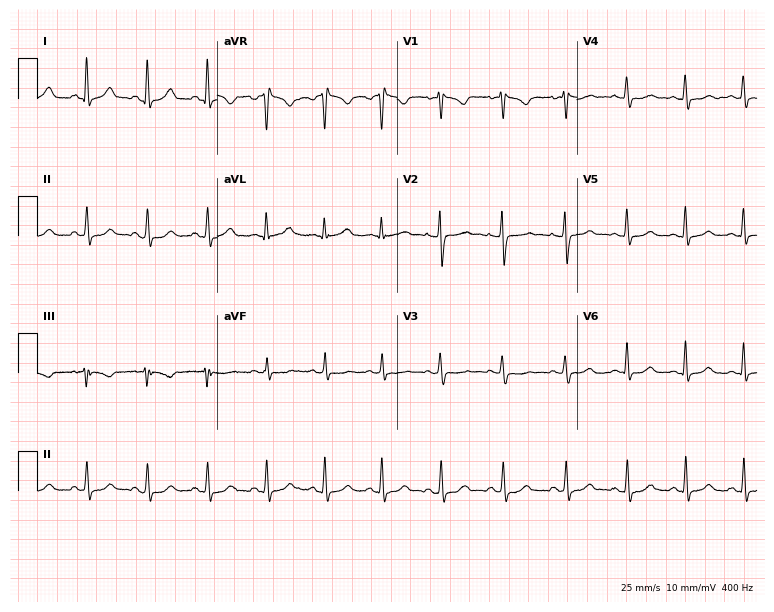
ECG (7.3-second recording at 400 Hz) — a woman, 28 years old. Labelled as a normal ECG.